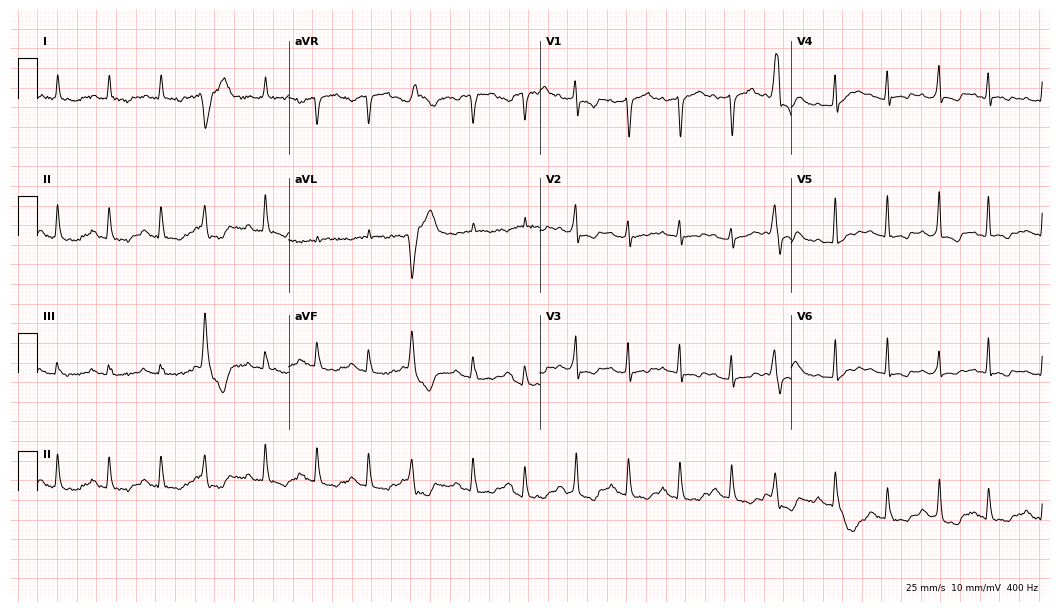
Resting 12-lead electrocardiogram. Patient: a 76-year-old man. None of these six findings is recorded: first-degree AV block, right bundle branch block (RBBB), left bundle branch block (LBBB), sinus bradycardia, atrial fibrillation (AF), sinus tachycardia. Only these six findings were labelled.